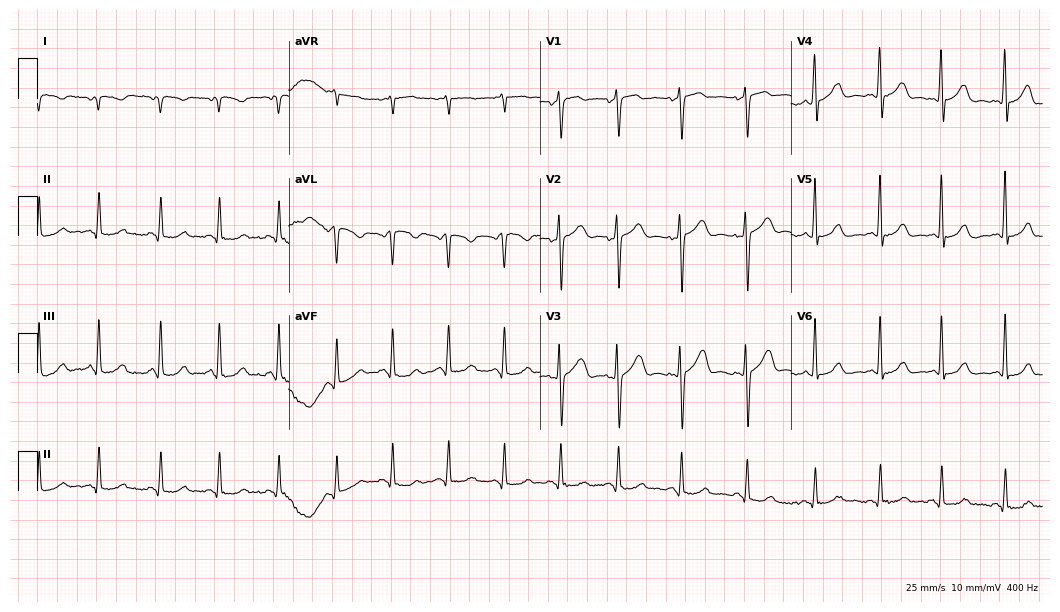
ECG (10.2-second recording at 400 Hz) — a female patient, 39 years old. Screened for six findings — first-degree AV block, right bundle branch block (RBBB), left bundle branch block (LBBB), sinus bradycardia, atrial fibrillation (AF), sinus tachycardia — none is recorded.